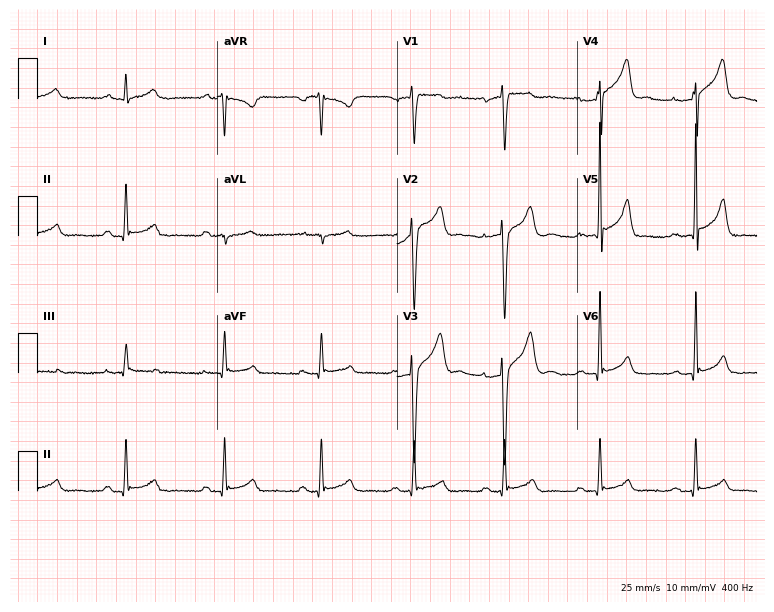
ECG (7.3-second recording at 400 Hz) — a male patient, 32 years old. Screened for six findings — first-degree AV block, right bundle branch block, left bundle branch block, sinus bradycardia, atrial fibrillation, sinus tachycardia — none is recorded. Other findings, if any, are not listed.